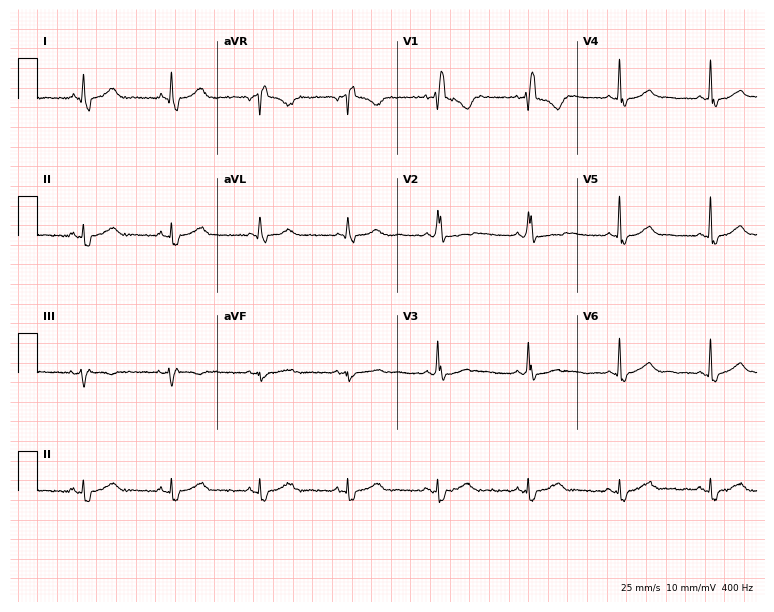
Resting 12-lead electrocardiogram (7.3-second recording at 400 Hz). Patient: a female, 42 years old. The tracing shows right bundle branch block.